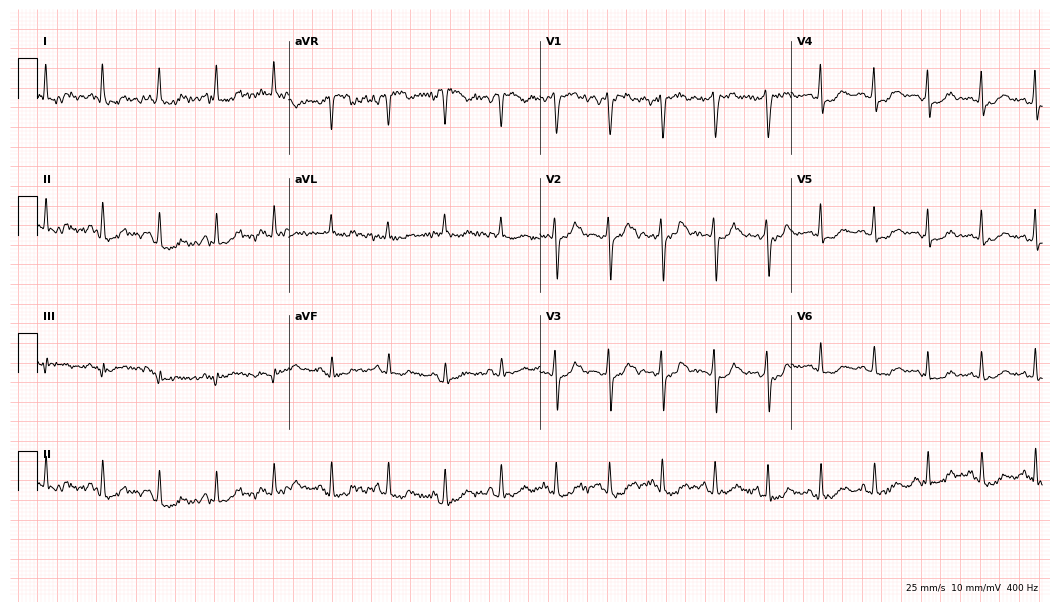
ECG (10.2-second recording at 400 Hz) — a female, 58 years old. Findings include sinus tachycardia (a sinus rate of 100 beats per minute or more).